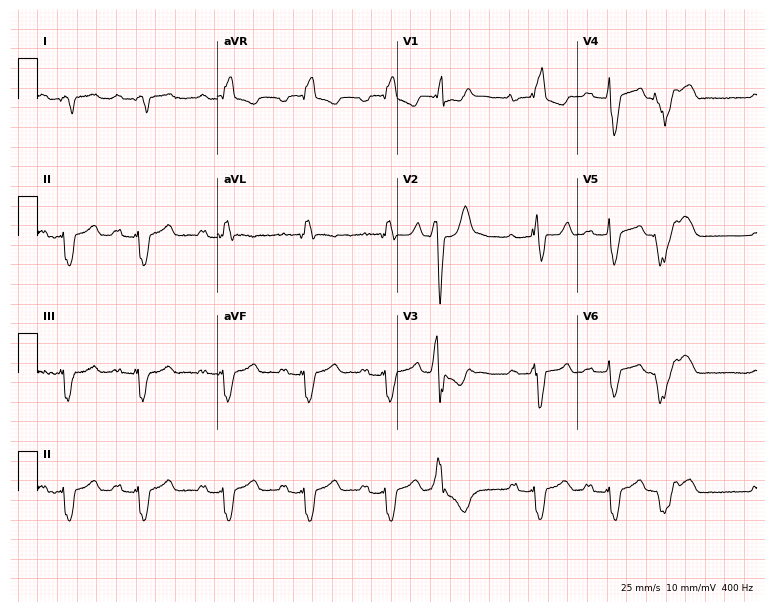
Standard 12-lead ECG recorded from a 46-year-old female patient (7.3-second recording at 400 Hz). The tracing shows first-degree AV block, right bundle branch block (RBBB).